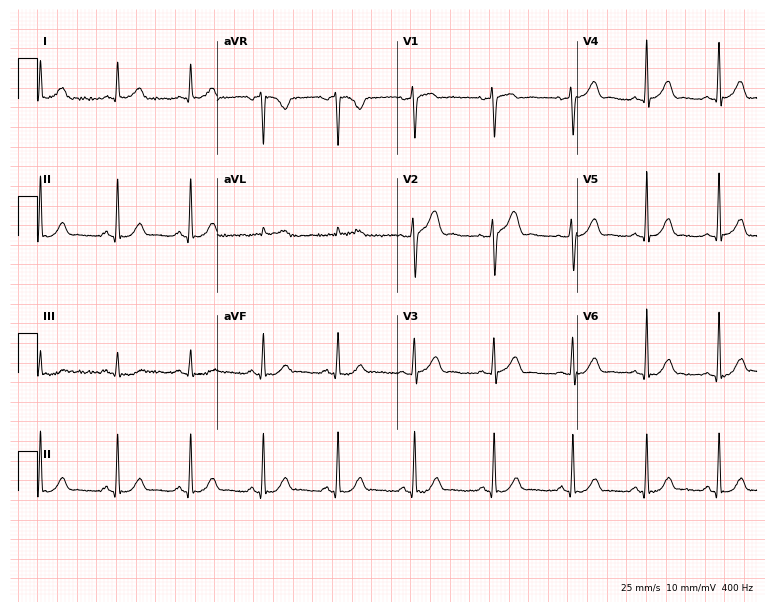
Standard 12-lead ECG recorded from a woman, 50 years old. Read as a normal ECG.